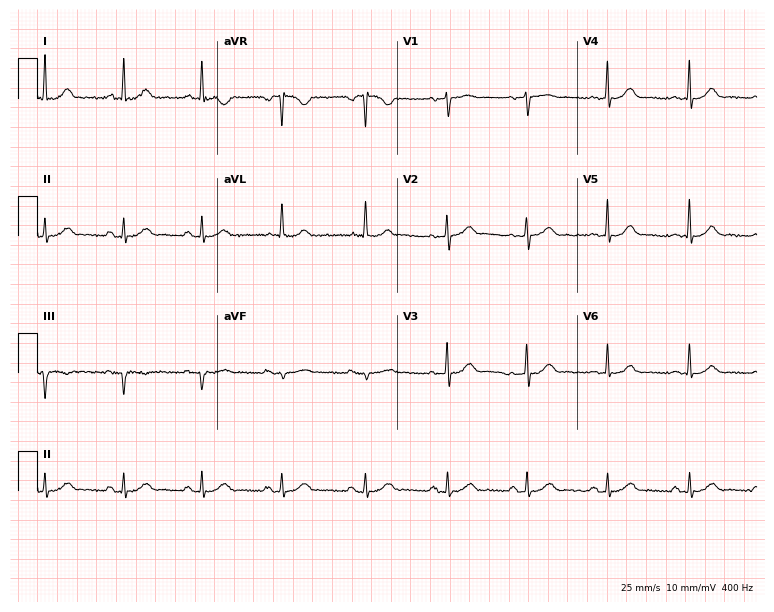
12-lead ECG from a woman, 67 years old. No first-degree AV block, right bundle branch block (RBBB), left bundle branch block (LBBB), sinus bradycardia, atrial fibrillation (AF) or sinus tachycardia recorded for this tracing. Other findings, if any, are not listed.